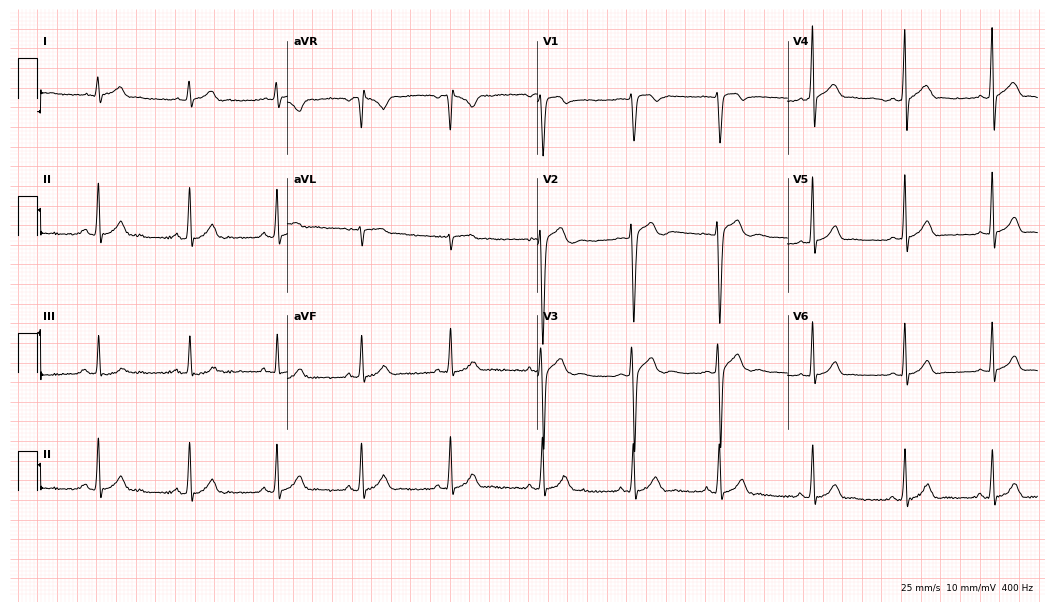
Resting 12-lead electrocardiogram (10.2-second recording at 400 Hz). Patient: a male, 20 years old. None of these six findings is recorded: first-degree AV block, right bundle branch block, left bundle branch block, sinus bradycardia, atrial fibrillation, sinus tachycardia. Other findings, if any, are not listed.